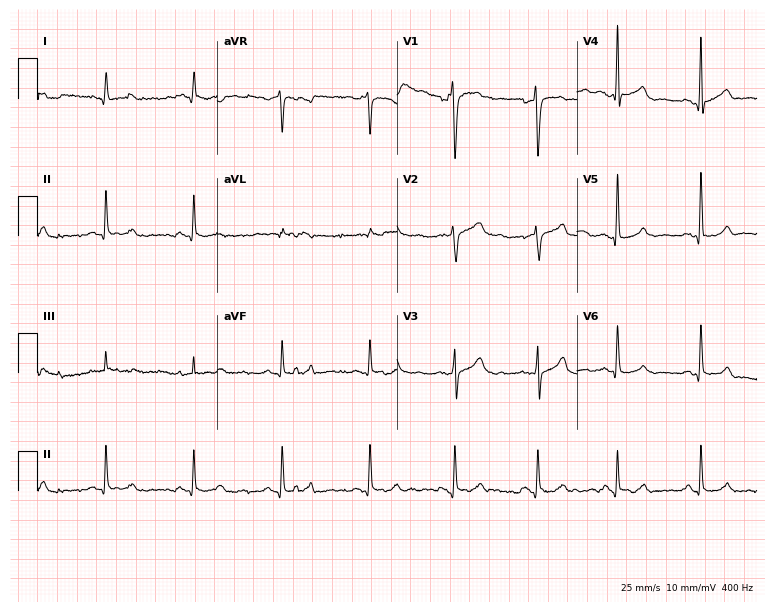
Electrocardiogram, a 61-year-old man. Overall reading on record: normal ECG.